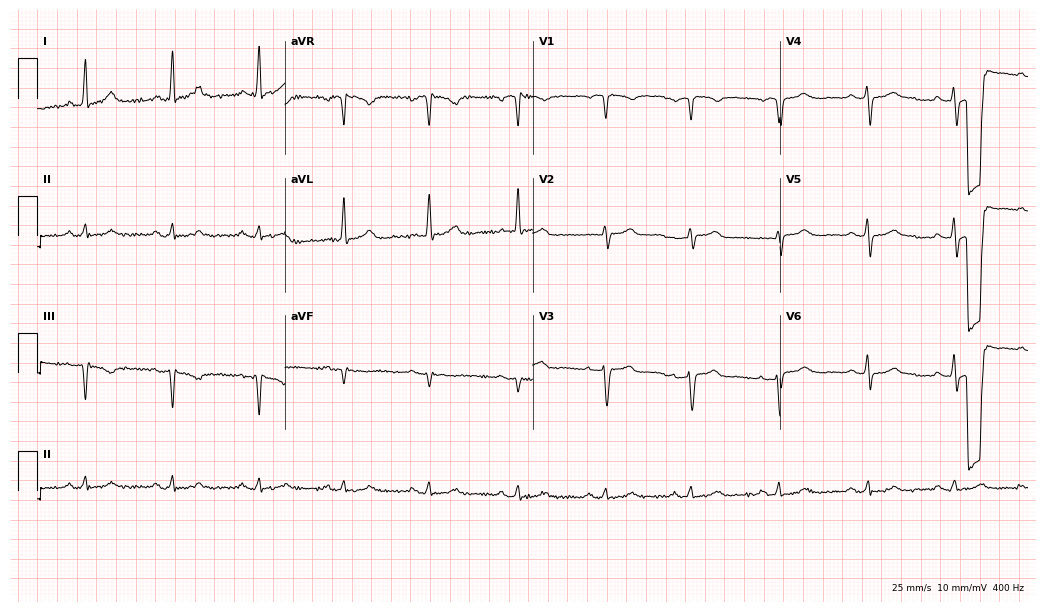
ECG — a female, 66 years old. Labelled as a normal ECG.